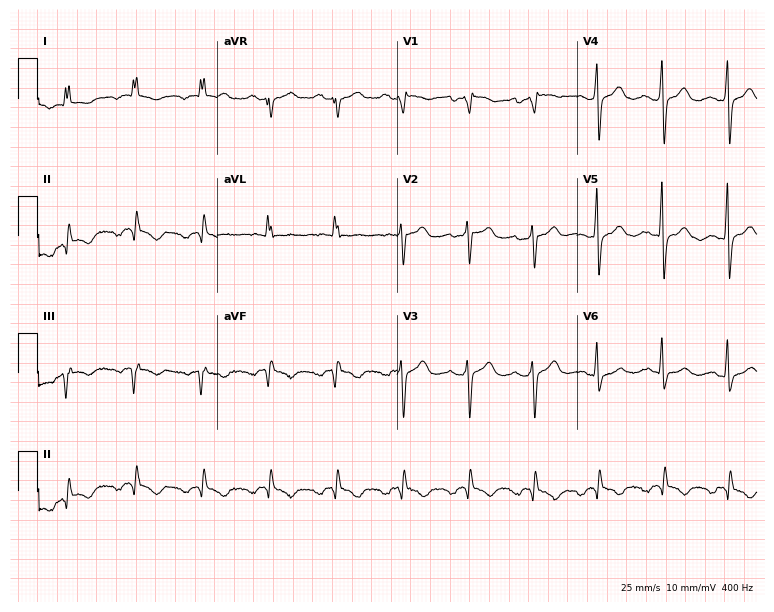
Standard 12-lead ECG recorded from a 47-year-old female. None of these six findings is recorded: first-degree AV block, right bundle branch block, left bundle branch block, sinus bradycardia, atrial fibrillation, sinus tachycardia. Findings outside these six are not listed.